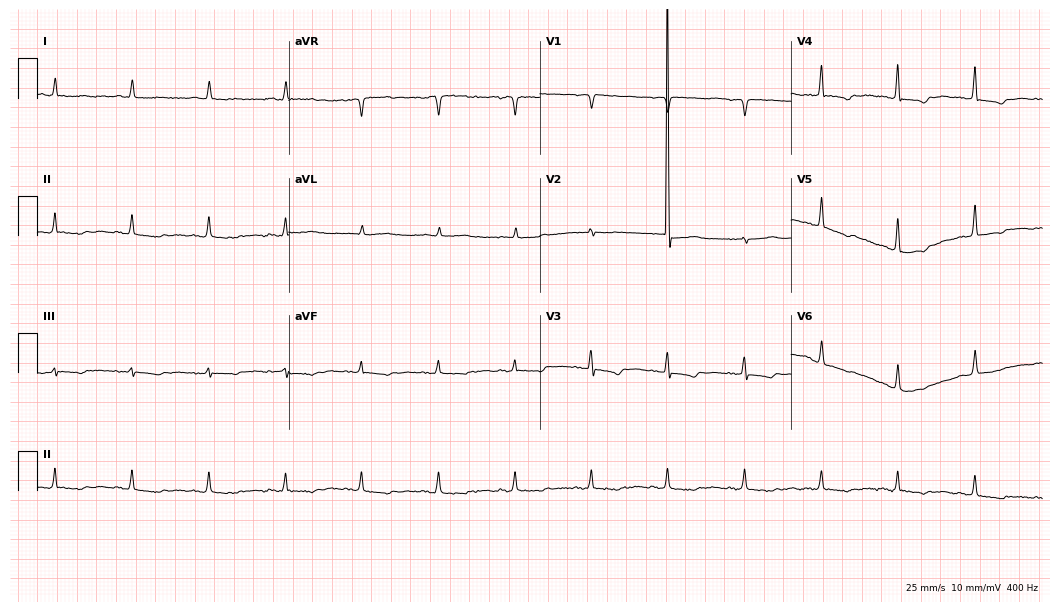
12-lead ECG from a woman, 85 years old (10.2-second recording at 400 Hz). No first-degree AV block, right bundle branch block, left bundle branch block, sinus bradycardia, atrial fibrillation or sinus tachycardia recorded for this tracing. Other findings, if any, are not listed.